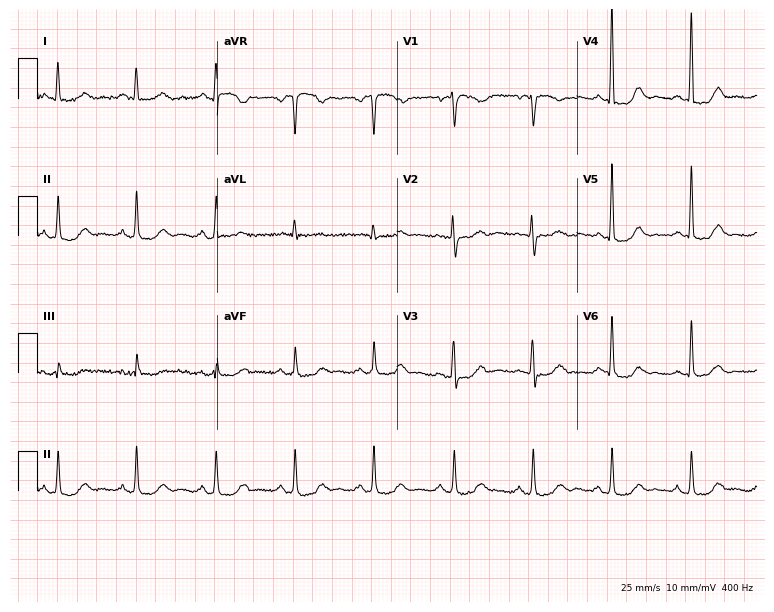
12-lead ECG from a female, 80 years old. No first-degree AV block, right bundle branch block, left bundle branch block, sinus bradycardia, atrial fibrillation or sinus tachycardia recorded for this tracing. Only these six findings were labelled.